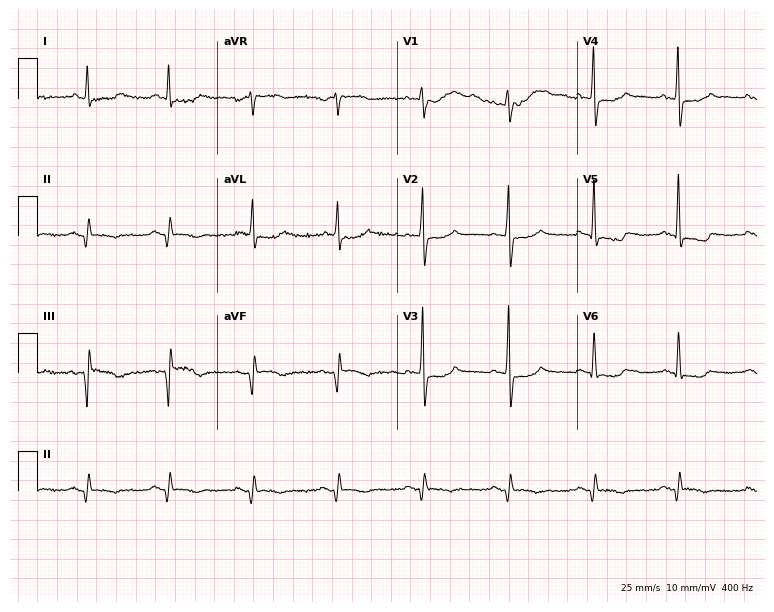
ECG (7.3-second recording at 400 Hz) — a 75-year-old male. Screened for six findings — first-degree AV block, right bundle branch block (RBBB), left bundle branch block (LBBB), sinus bradycardia, atrial fibrillation (AF), sinus tachycardia — none is recorded.